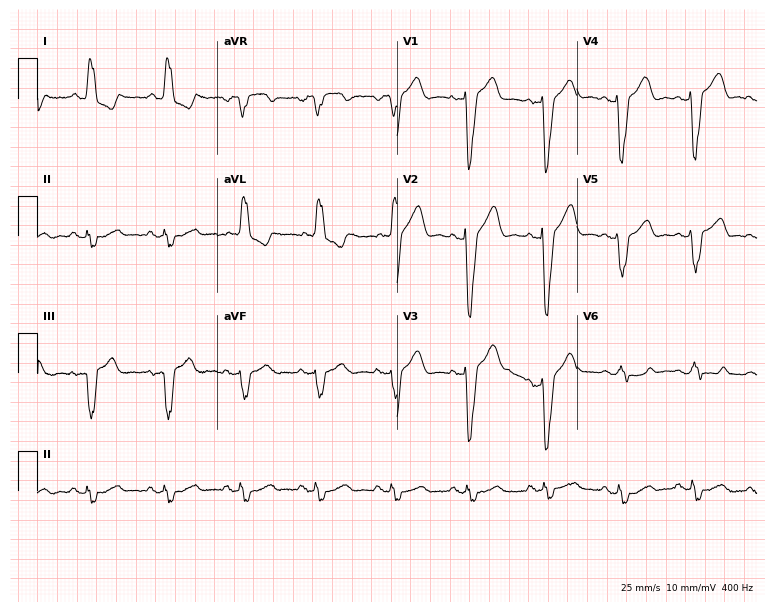
Resting 12-lead electrocardiogram. Patient: a female, 69 years old. The tracing shows left bundle branch block (LBBB).